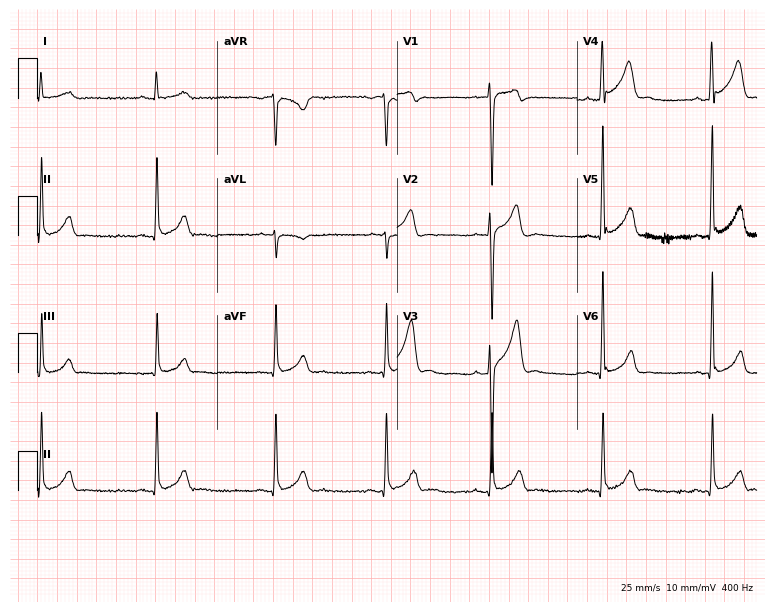
Resting 12-lead electrocardiogram (7.3-second recording at 400 Hz). Patient: a 24-year-old male. Read as a normal ECG.